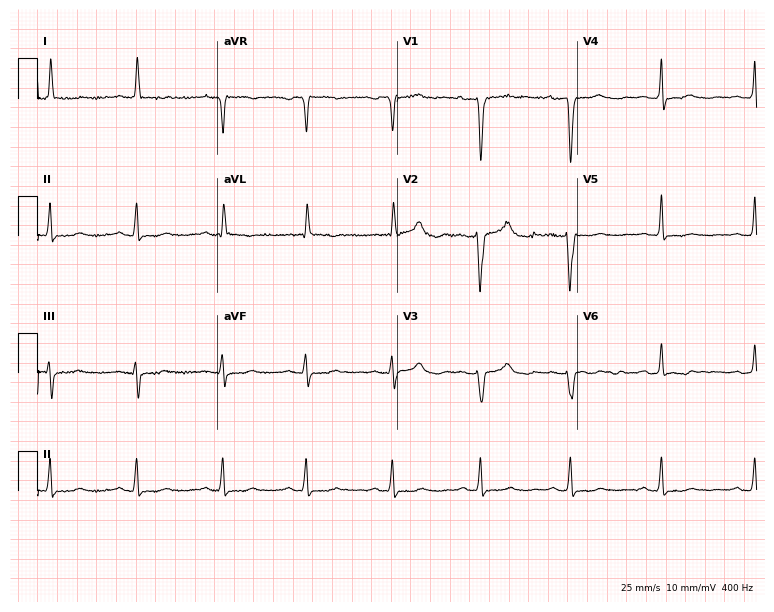
Standard 12-lead ECG recorded from a female patient, 77 years old. None of these six findings is recorded: first-degree AV block, right bundle branch block (RBBB), left bundle branch block (LBBB), sinus bradycardia, atrial fibrillation (AF), sinus tachycardia. Findings outside these six are not listed.